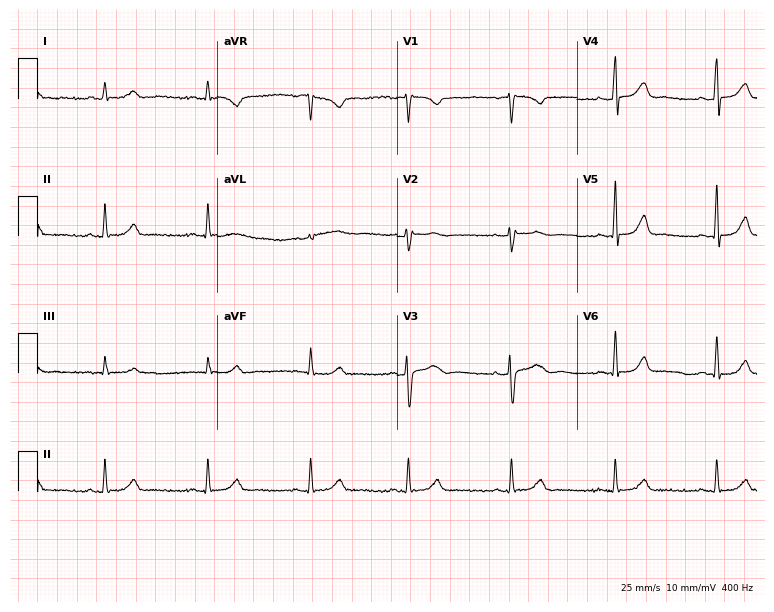
12-lead ECG from a 46-year-old female patient. Recorded interpretation: within normal limits.